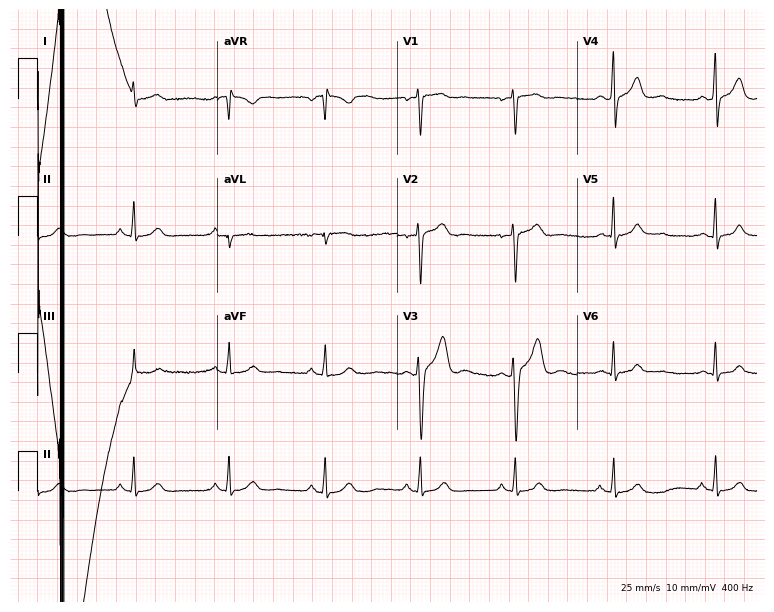
Resting 12-lead electrocardiogram. Patient: a 42-year-old man. Read as a normal ECG.